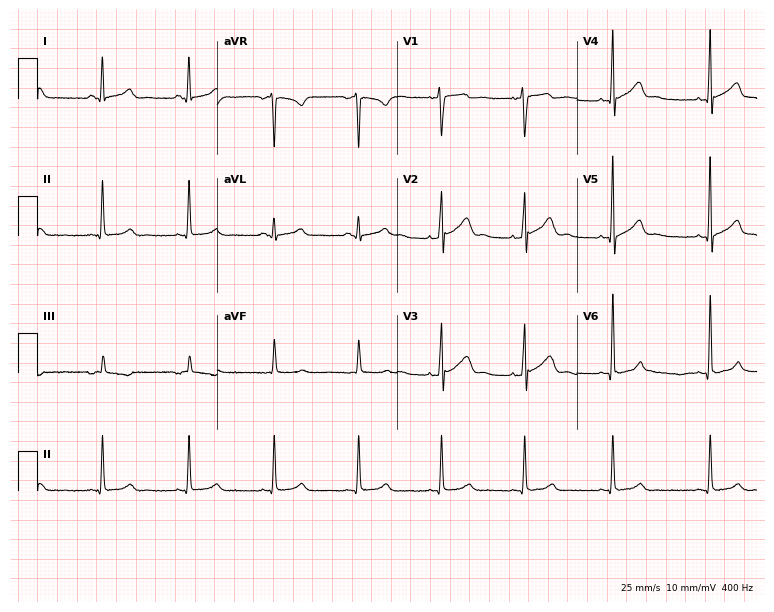
12-lead ECG from a 27-year-old male. No first-degree AV block, right bundle branch block (RBBB), left bundle branch block (LBBB), sinus bradycardia, atrial fibrillation (AF) or sinus tachycardia recorded for this tracing. Only these six findings were labelled.